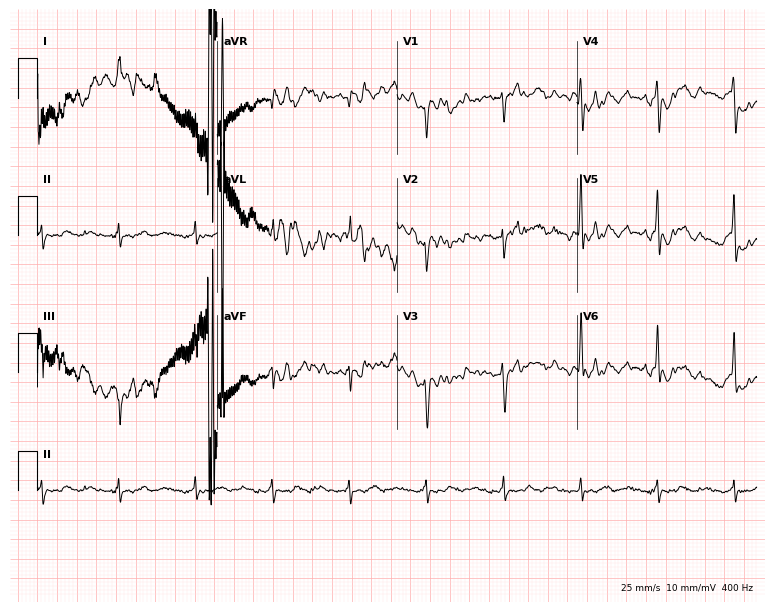
Electrocardiogram, an 85-year-old female. Of the six screened findings (first-degree AV block, right bundle branch block (RBBB), left bundle branch block (LBBB), sinus bradycardia, atrial fibrillation (AF), sinus tachycardia), none is recorded.